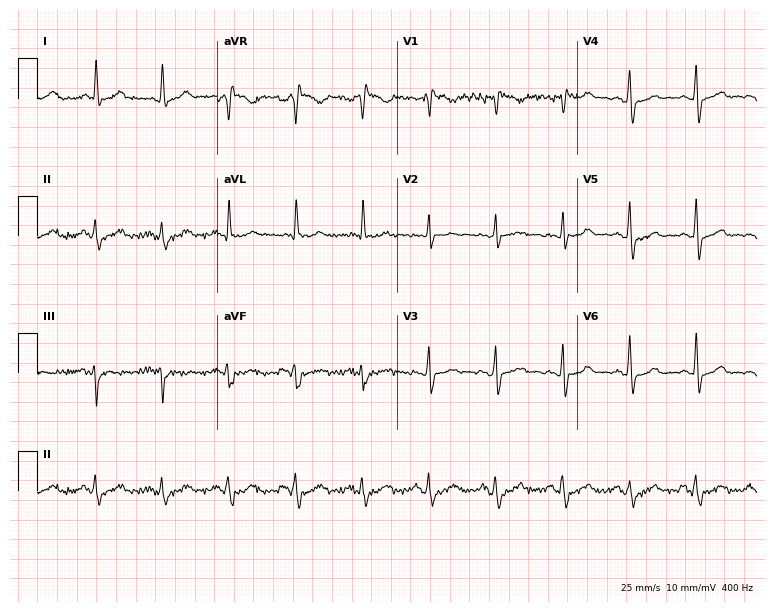
Standard 12-lead ECG recorded from a 53-year-old male (7.3-second recording at 400 Hz). None of these six findings is recorded: first-degree AV block, right bundle branch block (RBBB), left bundle branch block (LBBB), sinus bradycardia, atrial fibrillation (AF), sinus tachycardia.